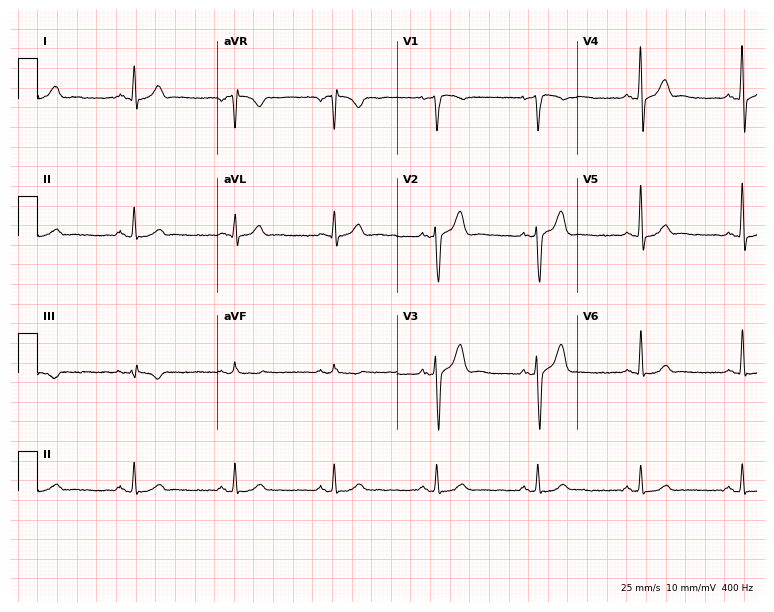
12-lead ECG from a man, 31 years old (7.3-second recording at 400 Hz). Recorded interpretation: within normal limits.